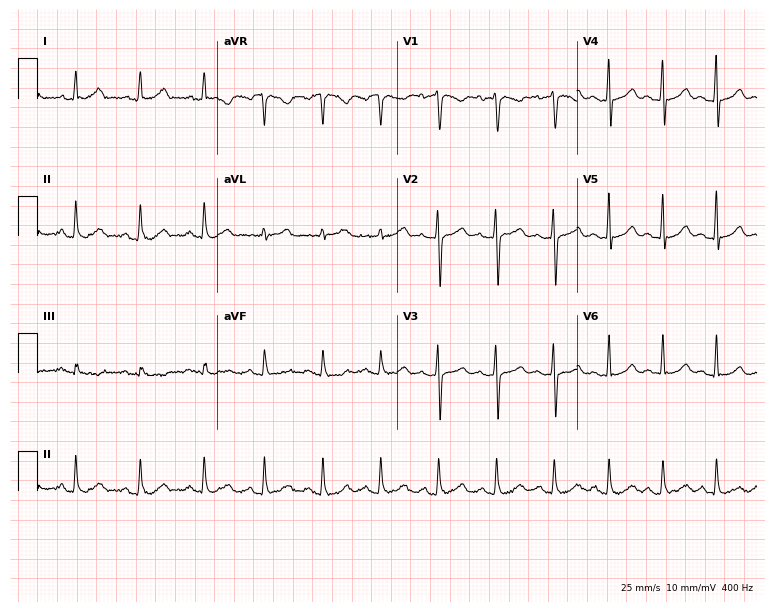
12-lead ECG from a 27-year-old female patient (7.3-second recording at 400 Hz). No first-degree AV block, right bundle branch block, left bundle branch block, sinus bradycardia, atrial fibrillation or sinus tachycardia recorded for this tracing. Findings outside these six are not listed.